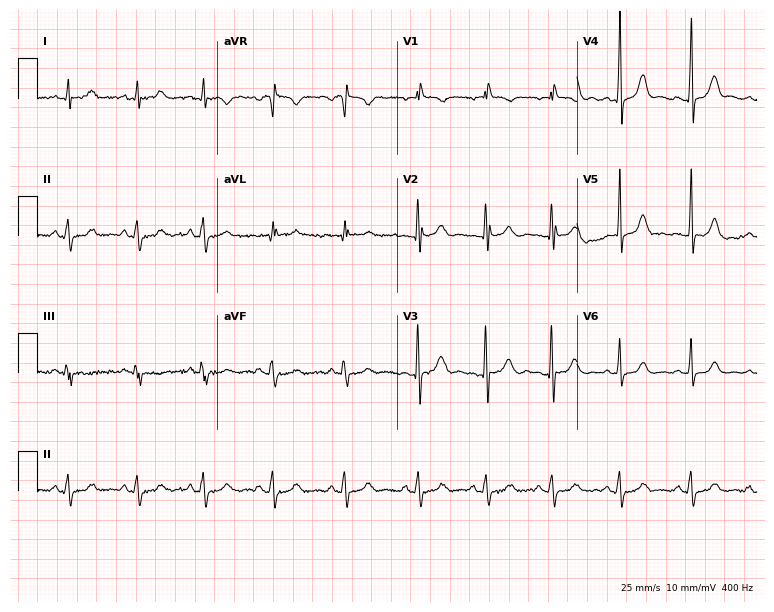
Resting 12-lead electrocardiogram (7.3-second recording at 400 Hz). Patient: a 22-year-old female. None of these six findings is recorded: first-degree AV block, right bundle branch block, left bundle branch block, sinus bradycardia, atrial fibrillation, sinus tachycardia.